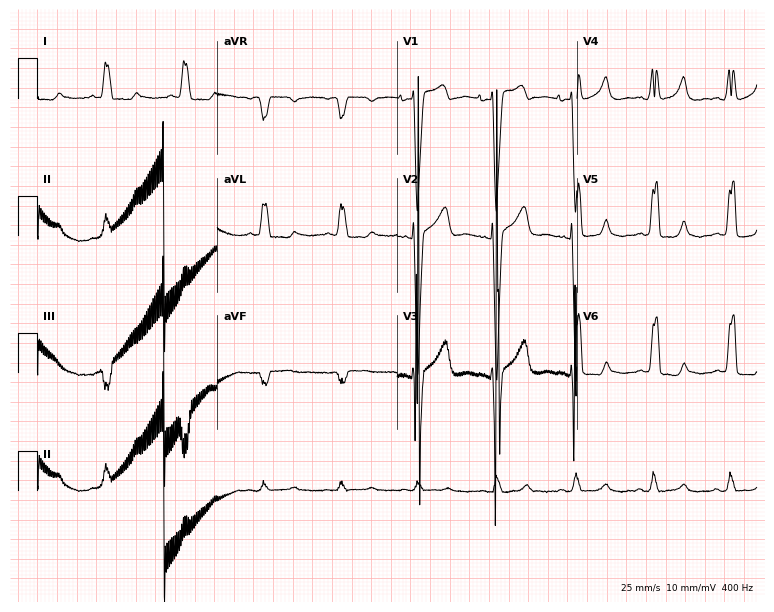
Electrocardiogram (7.3-second recording at 400 Hz), a 75-year-old female. Interpretation includes left bundle branch block.